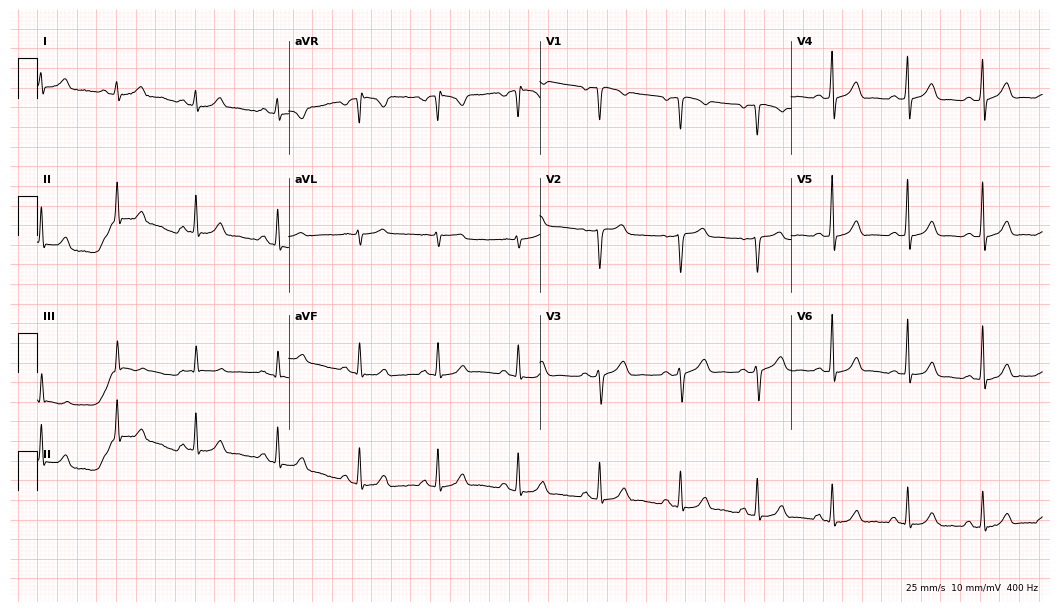
Resting 12-lead electrocardiogram. Patient: a woman, 38 years old. None of these six findings is recorded: first-degree AV block, right bundle branch block, left bundle branch block, sinus bradycardia, atrial fibrillation, sinus tachycardia.